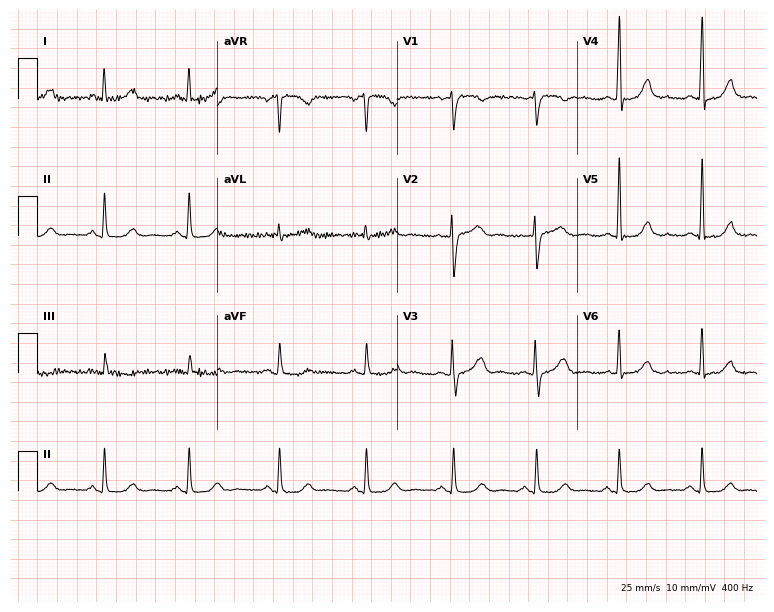
12-lead ECG from a female, 46 years old (7.3-second recording at 400 Hz). No first-degree AV block, right bundle branch block (RBBB), left bundle branch block (LBBB), sinus bradycardia, atrial fibrillation (AF) or sinus tachycardia recorded for this tracing.